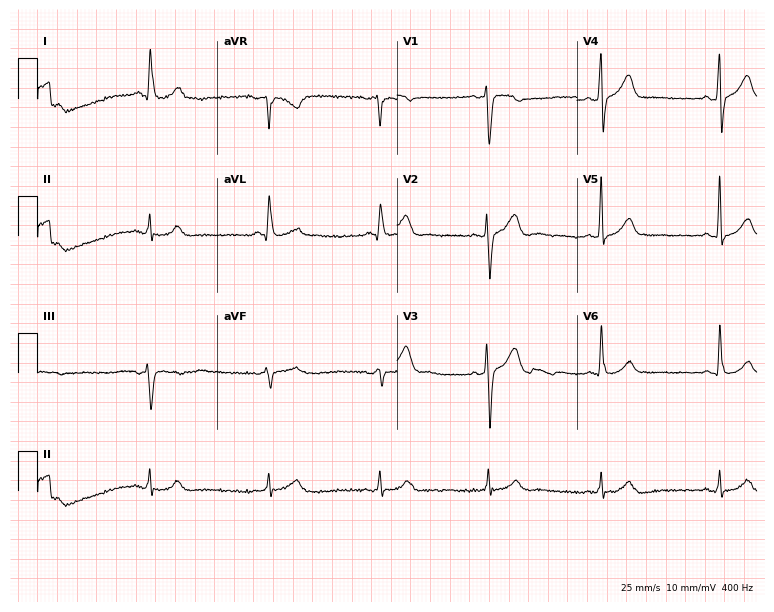
Standard 12-lead ECG recorded from a female patient, 65 years old (7.3-second recording at 400 Hz). None of these six findings is recorded: first-degree AV block, right bundle branch block, left bundle branch block, sinus bradycardia, atrial fibrillation, sinus tachycardia.